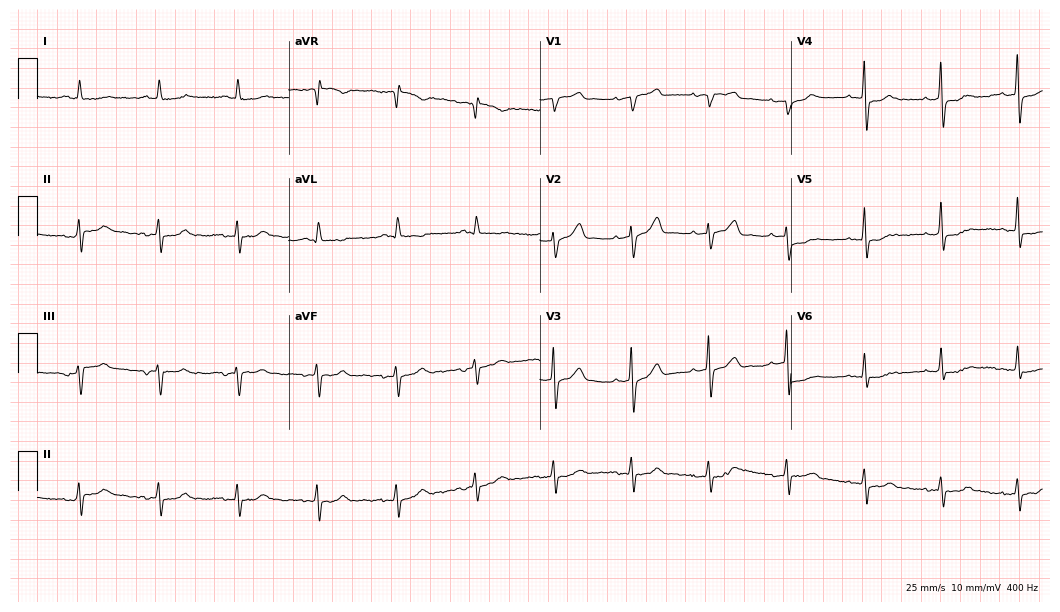
12-lead ECG from a male, 80 years old (10.2-second recording at 400 Hz). No first-degree AV block, right bundle branch block, left bundle branch block, sinus bradycardia, atrial fibrillation or sinus tachycardia recorded for this tracing.